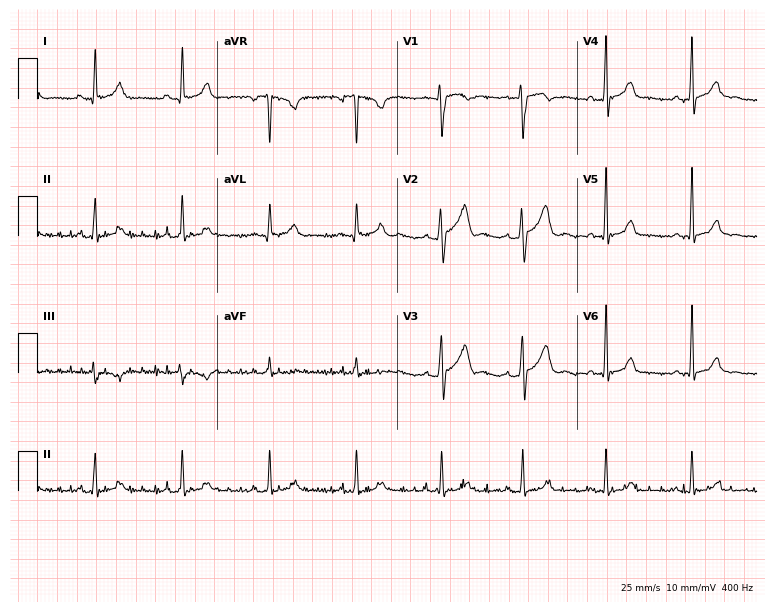
Standard 12-lead ECG recorded from a 28-year-old male patient. None of these six findings is recorded: first-degree AV block, right bundle branch block, left bundle branch block, sinus bradycardia, atrial fibrillation, sinus tachycardia. Only these six findings were labelled.